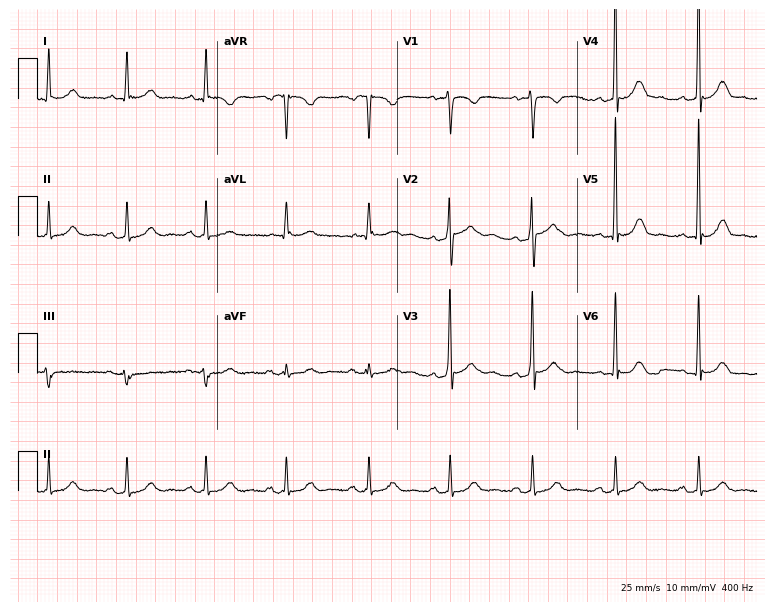
Resting 12-lead electrocardiogram (7.3-second recording at 400 Hz). Patient: a male, 56 years old. None of these six findings is recorded: first-degree AV block, right bundle branch block (RBBB), left bundle branch block (LBBB), sinus bradycardia, atrial fibrillation (AF), sinus tachycardia. Only these six findings were labelled.